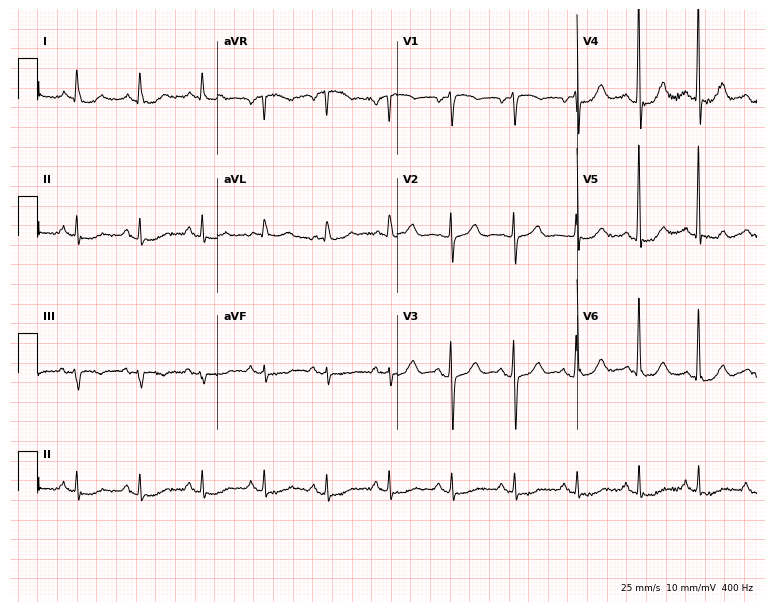
Resting 12-lead electrocardiogram (7.3-second recording at 400 Hz). Patient: a male, 73 years old. Read as a normal ECG.